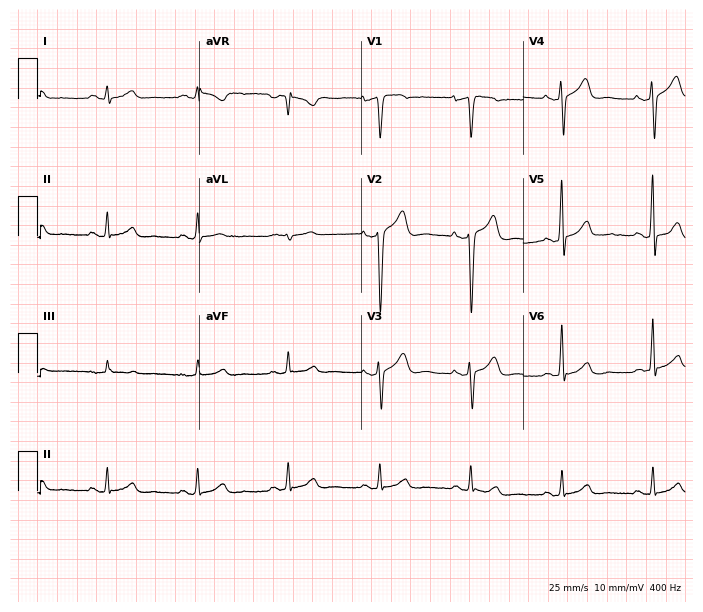
12-lead ECG from a 51-year-old male (6.6-second recording at 400 Hz). Recorded interpretation: within normal limits.